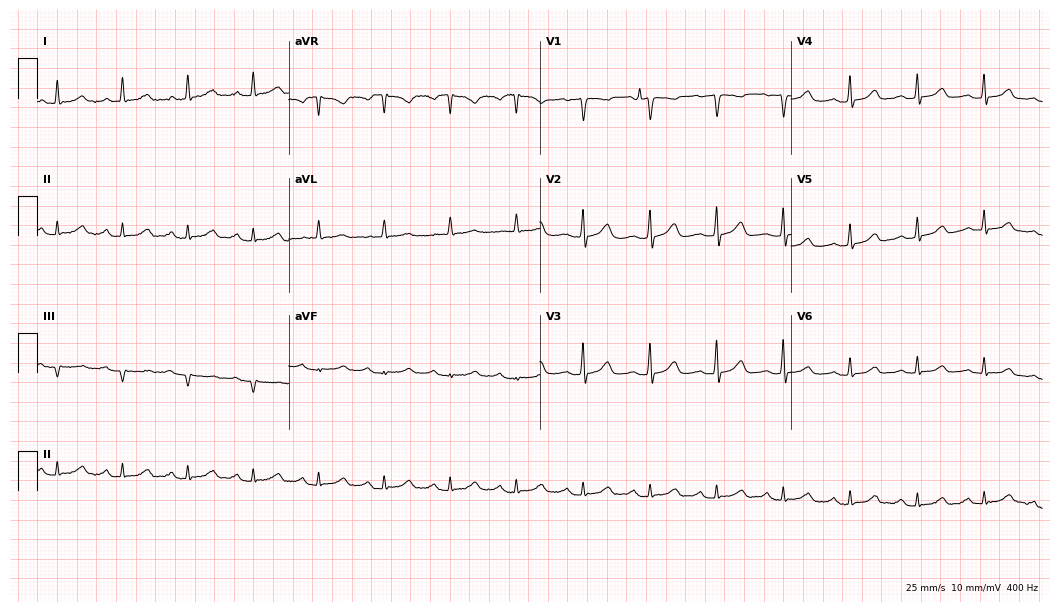
12-lead ECG from a 59-year-old female patient. Labelled as a normal ECG.